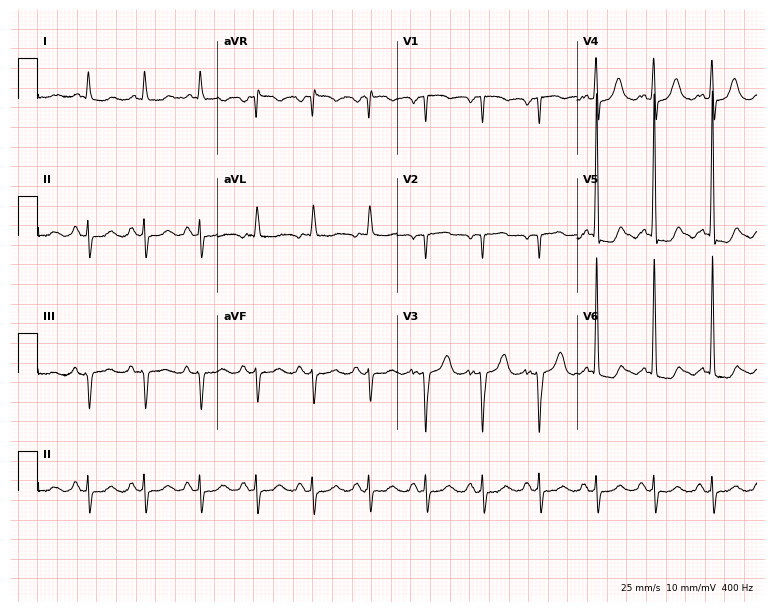
ECG (7.3-second recording at 400 Hz) — a 68-year-old female. Screened for six findings — first-degree AV block, right bundle branch block, left bundle branch block, sinus bradycardia, atrial fibrillation, sinus tachycardia — none is recorded. Only these six findings were labelled.